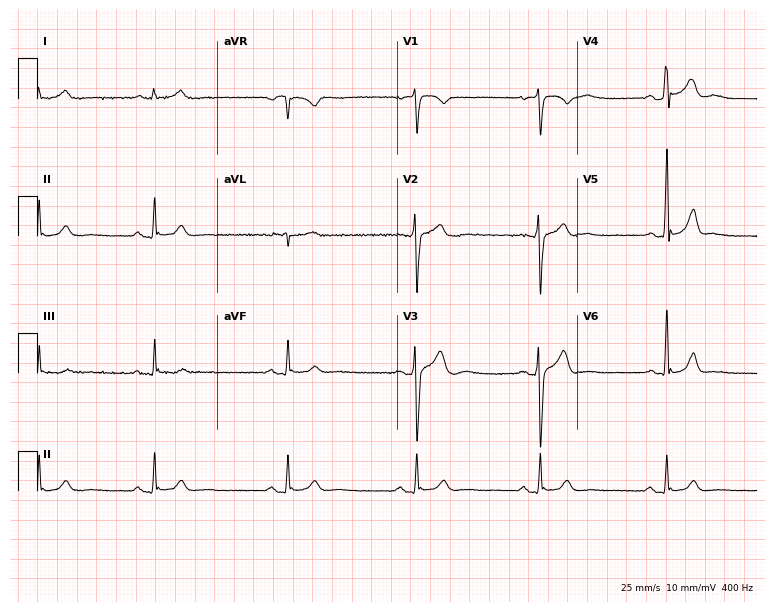
Standard 12-lead ECG recorded from a male patient, 32 years old. The tracing shows sinus bradycardia (a sinus rate of 50 beats per minute or less).